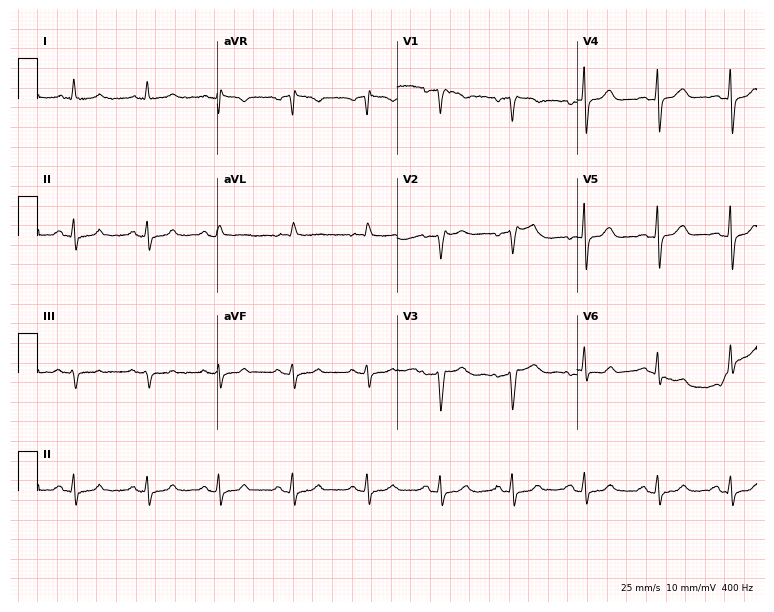
12-lead ECG from a 59-year-old female. Screened for six findings — first-degree AV block, right bundle branch block, left bundle branch block, sinus bradycardia, atrial fibrillation, sinus tachycardia — none is recorded. Findings outside these six are not listed.